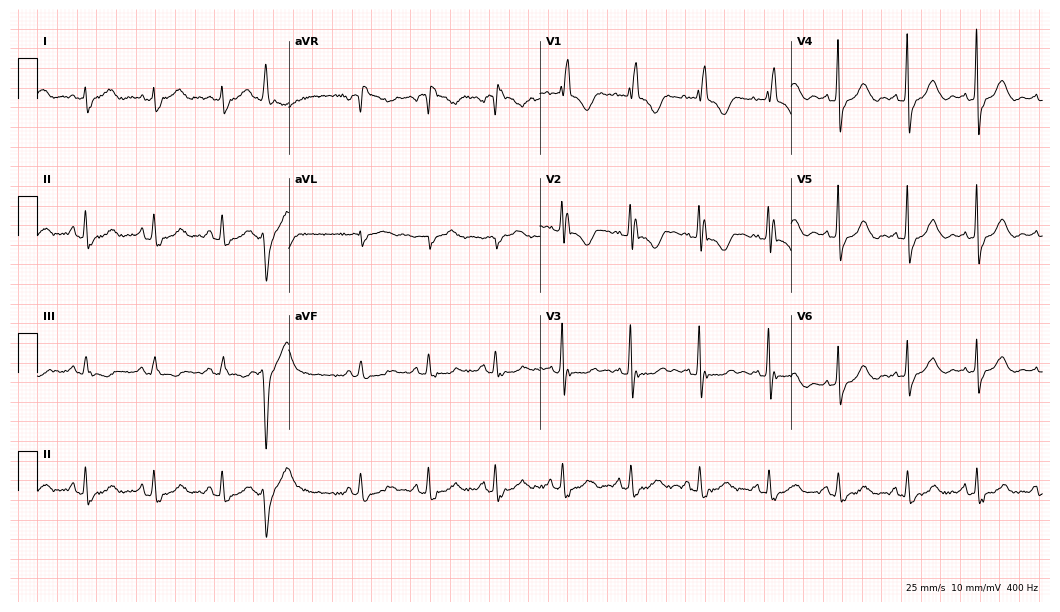
Resting 12-lead electrocardiogram (10.2-second recording at 400 Hz). Patient: a 79-year-old female. The tracing shows right bundle branch block.